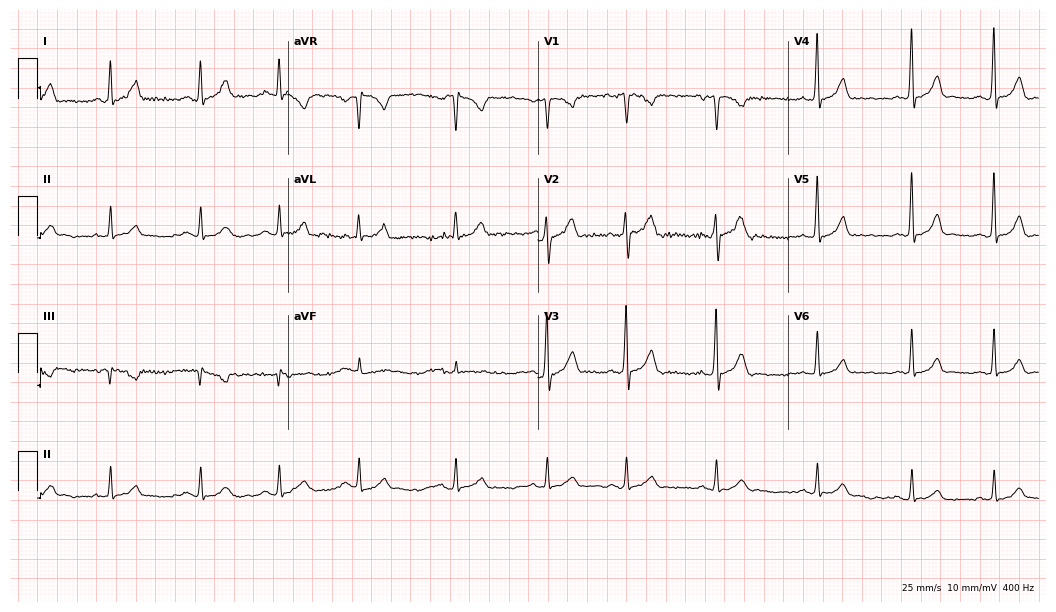
Resting 12-lead electrocardiogram. Patient: a male, 29 years old. Read as a normal ECG.